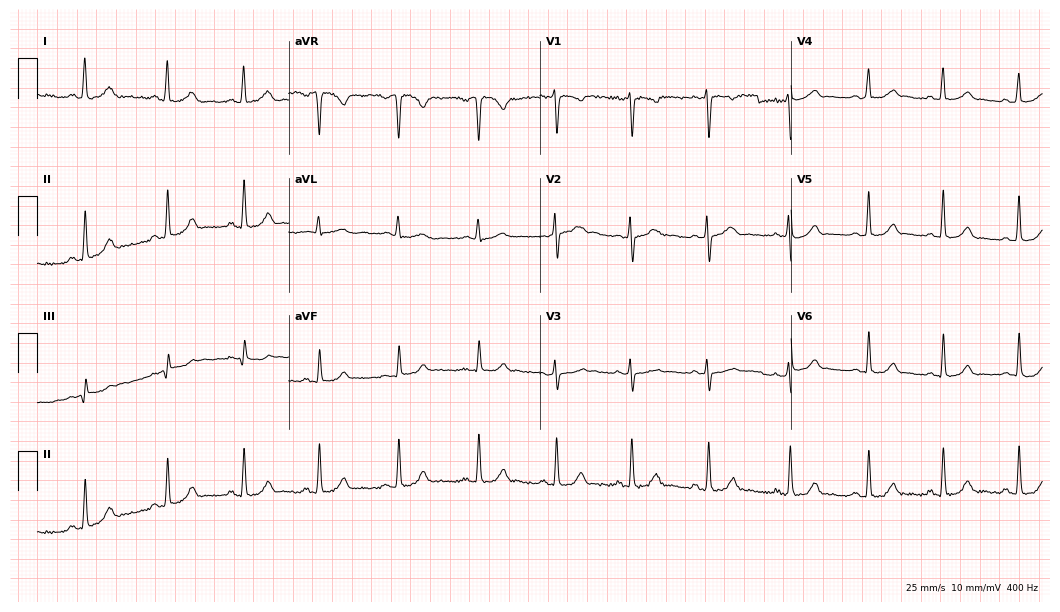
Electrocardiogram, a female, 23 years old. Overall reading on record: normal ECG.